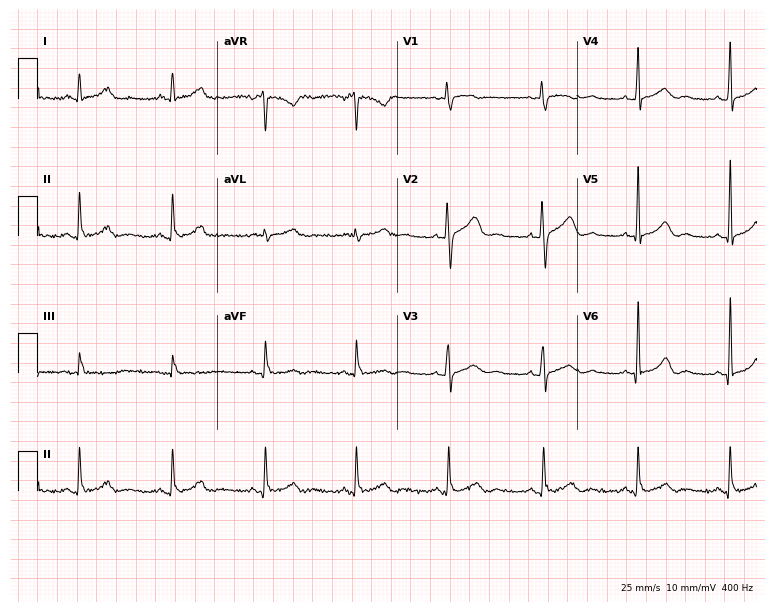
Resting 12-lead electrocardiogram. Patient: a 52-year-old female. Read as a normal ECG.